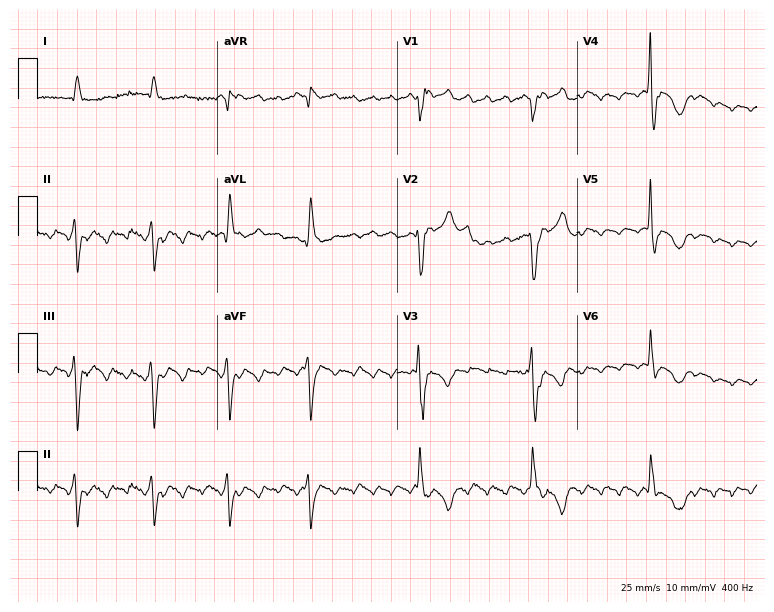
Electrocardiogram, a man, 77 years old. Interpretation includes right bundle branch block (RBBB).